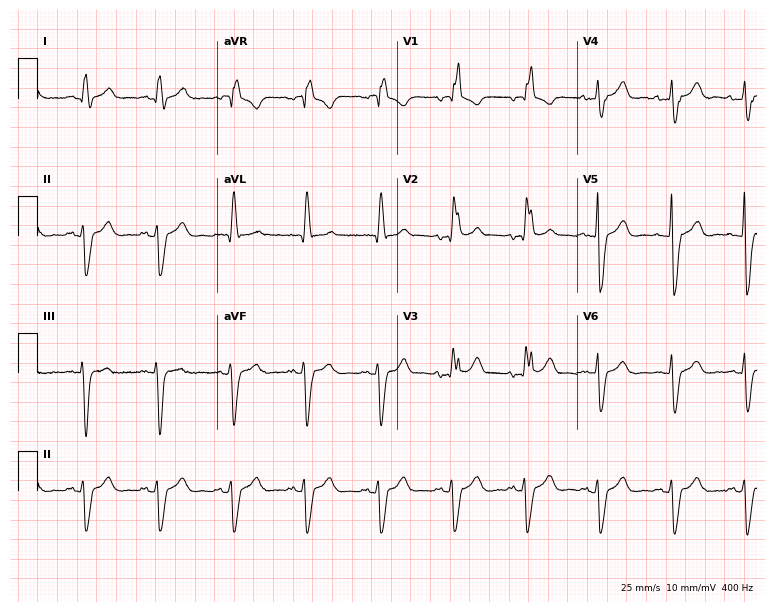
Electrocardiogram (7.3-second recording at 400 Hz), a male patient, 82 years old. Interpretation includes right bundle branch block.